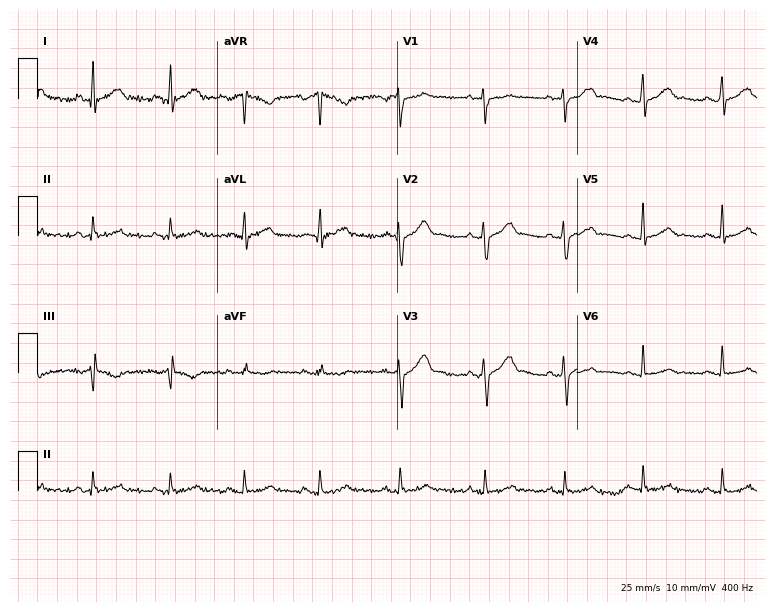
Resting 12-lead electrocardiogram. Patient: a man, 36 years old. Read as a normal ECG.